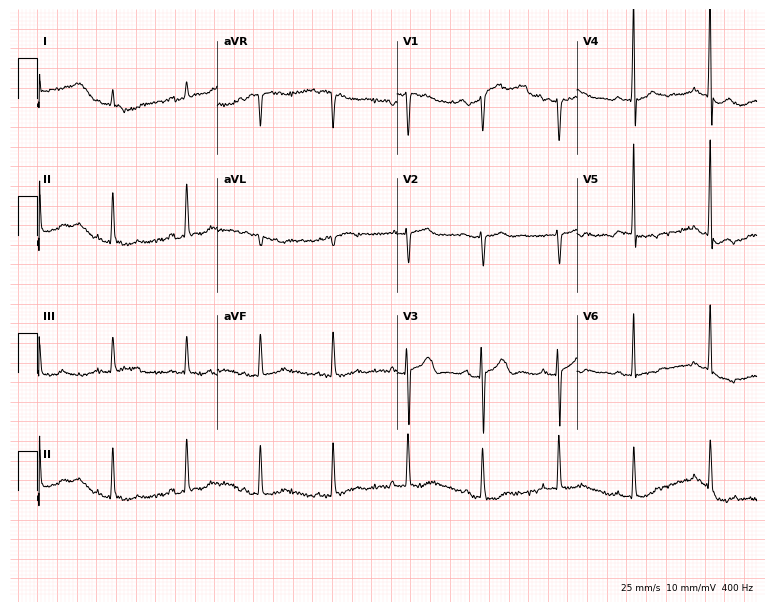
12-lead ECG from a 69-year-old male (7.3-second recording at 400 Hz). No first-degree AV block, right bundle branch block, left bundle branch block, sinus bradycardia, atrial fibrillation or sinus tachycardia recorded for this tracing. Findings outside these six are not listed.